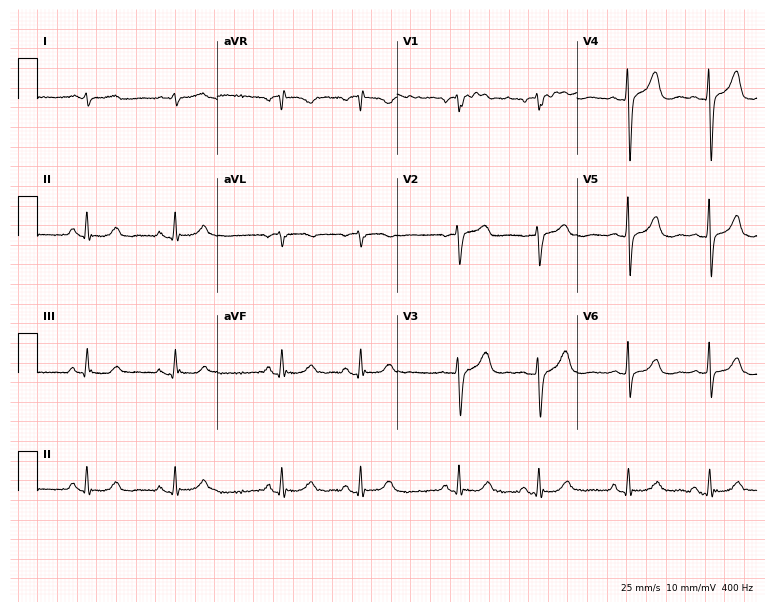
12-lead ECG from a 73-year-old male. Screened for six findings — first-degree AV block, right bundle branch block, left bundle branch block, sinus bradycardia, atrial fibrillation, sinus tachycardia — none is recorded.